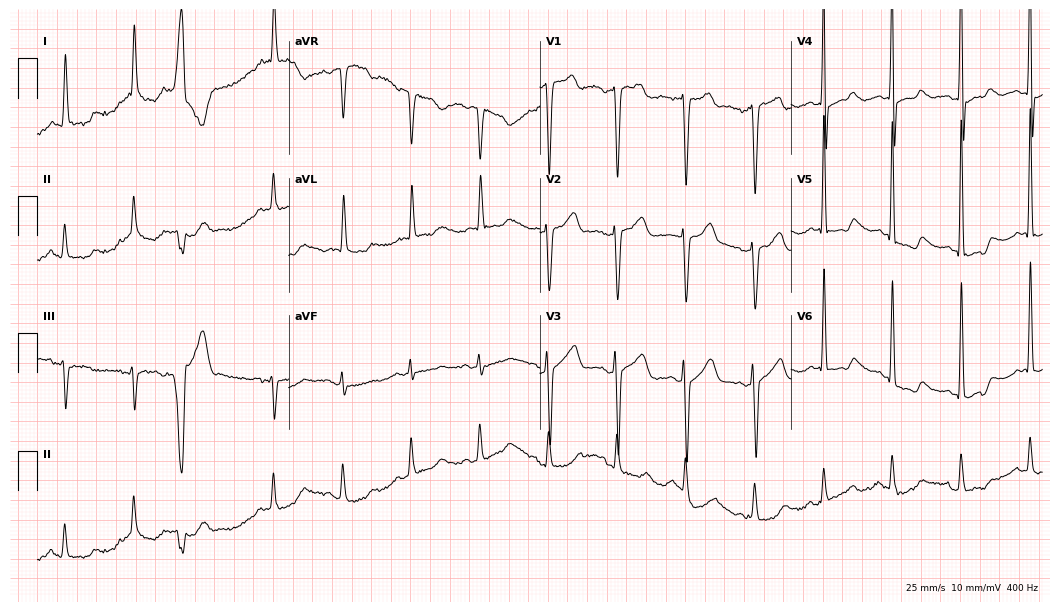
ECG (10.2-second recording at 400 Hz) — a male, 82 years old. Screened for six findings — first-degree AV block, right bundle branch block (RBBB), left bundle branch block (LBBB), sinus bradycardia, atrial fibrillation (AF), sinus tachycardia — none is recorded. Findings outside these six are not listed.